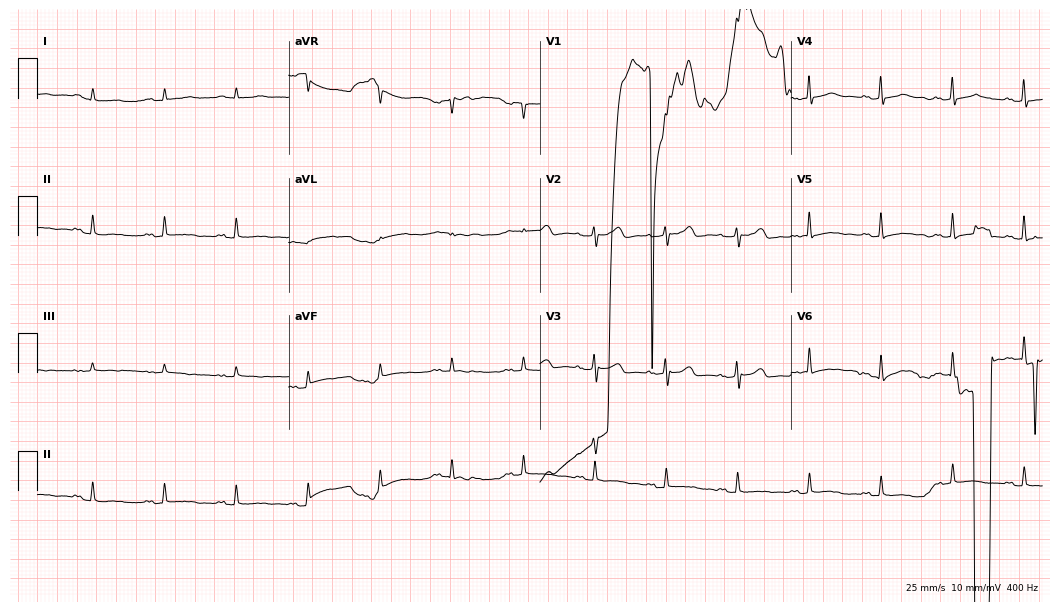
Standard 12-lead ECG recorded from a woman, 64 years old. None of these six findings is recorded: first-degree AV block, right bundle branch block (RBBB), left bundle branch block (LBBB), sinus bradycardia, atrial fibrillation (AF), sinus tachycardia. Only these six findings were labelled.